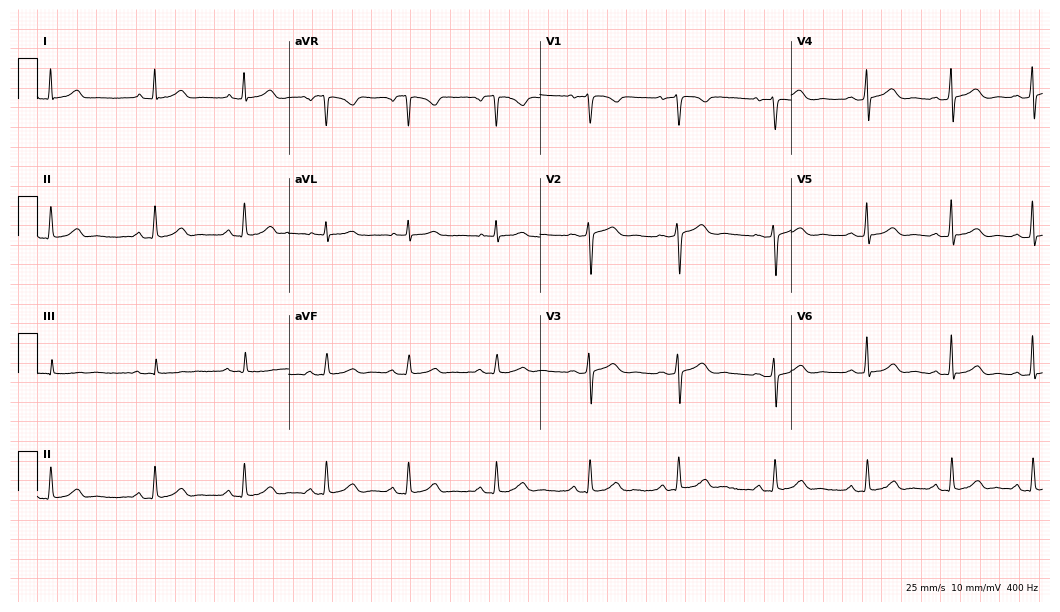
Resting 12-lead electrocardiogram. Patient: a female, 43 years old. Read as a normal ECG.